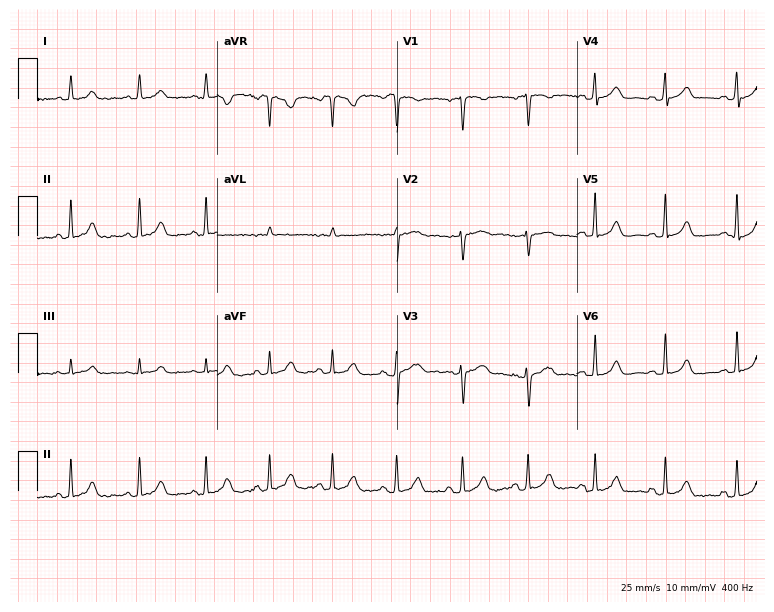
Standard 12-lead ECG recorded from a woman, 31 years old (7.3-second recording at 400 Hz). None of these six findings is recorded: first-degree AV block, right bundle branch block, left bundle branch block, sinus bradycardia, atrial fibrillation, sinus tachycardia. Only these six findings were labelled.